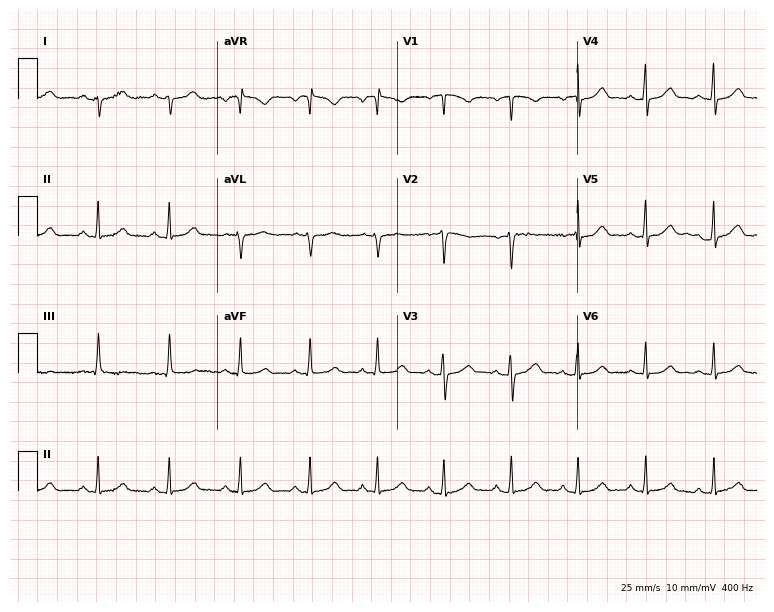
ECG (7.3-second recording at 400 Hz) — a female, 37 years old. Labelled as a normal ECG.